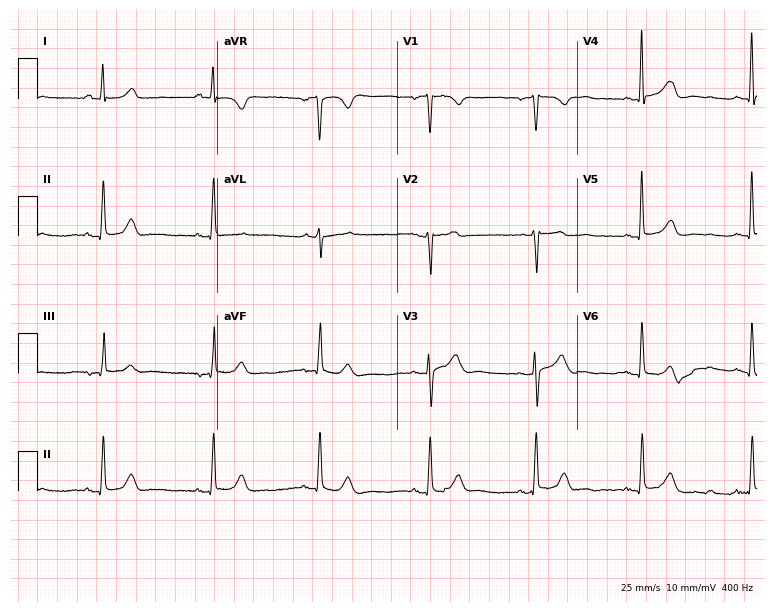
Electrocardiogram, a woman, 49 years old. Overall reading on record: normal ECG.